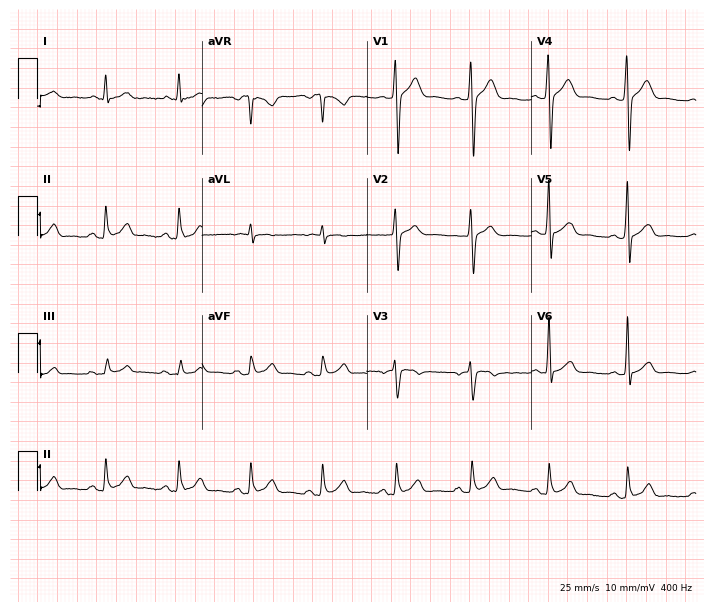
Electrocardiogram, a 40-year-old man. Overall reading on record: normal ECG.